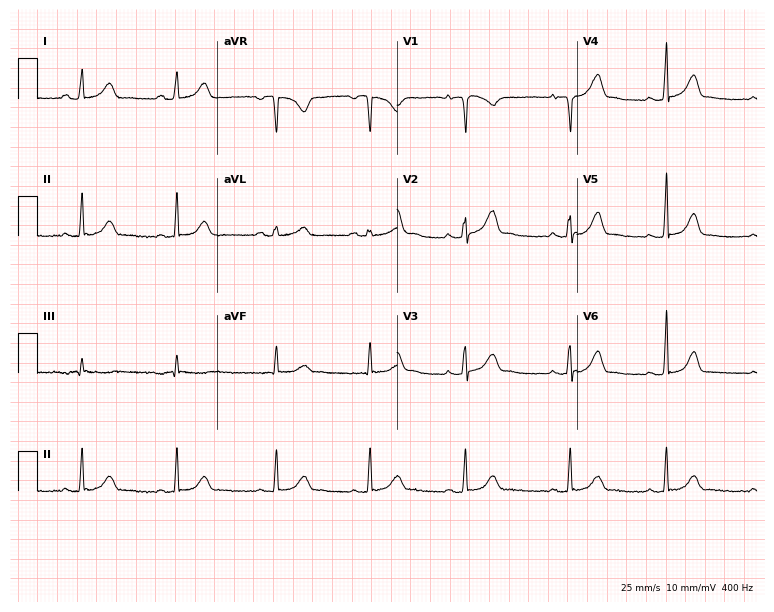
ECG — an 18-year-old female patient. Labelled as a normal ECG.